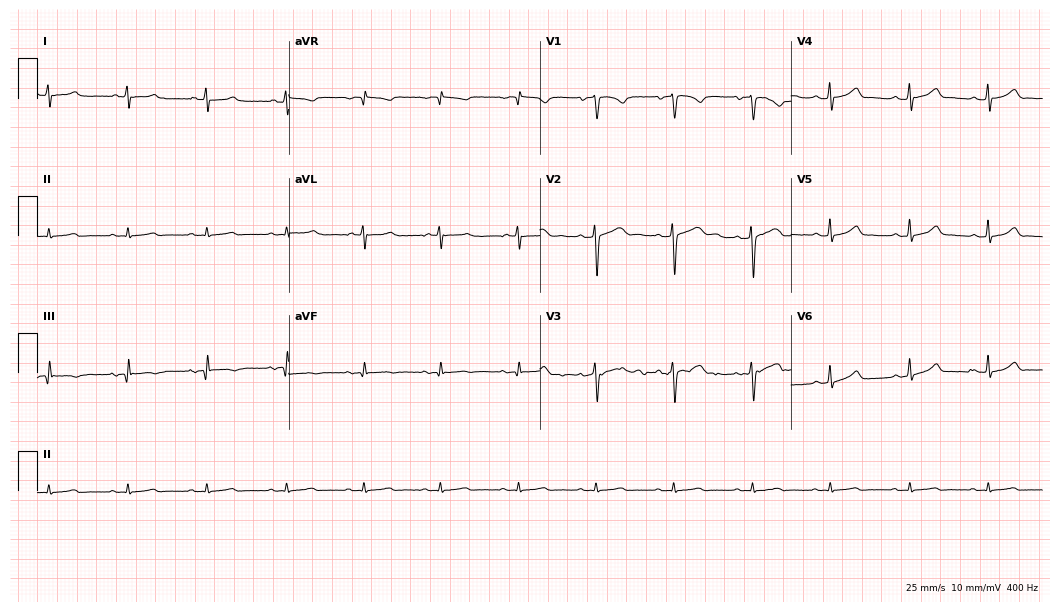
Electrocardiogram, a female, 19 years old. Overall reading on record: normal ECG.